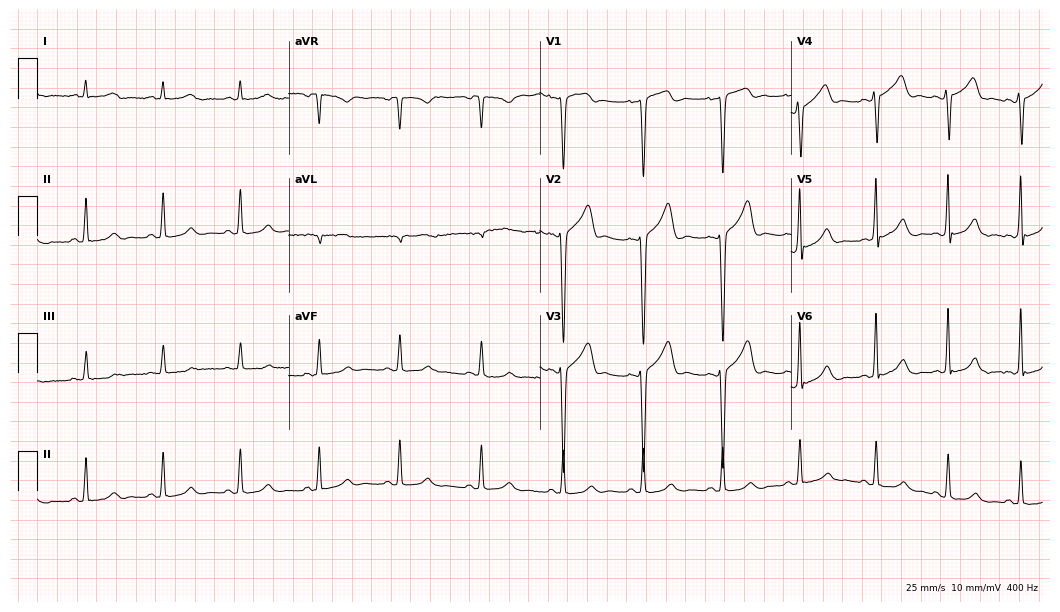
ECG (10.2-second recording at 400 Hz) — a 34-year-old male patient. Labelled as a normal ECG.